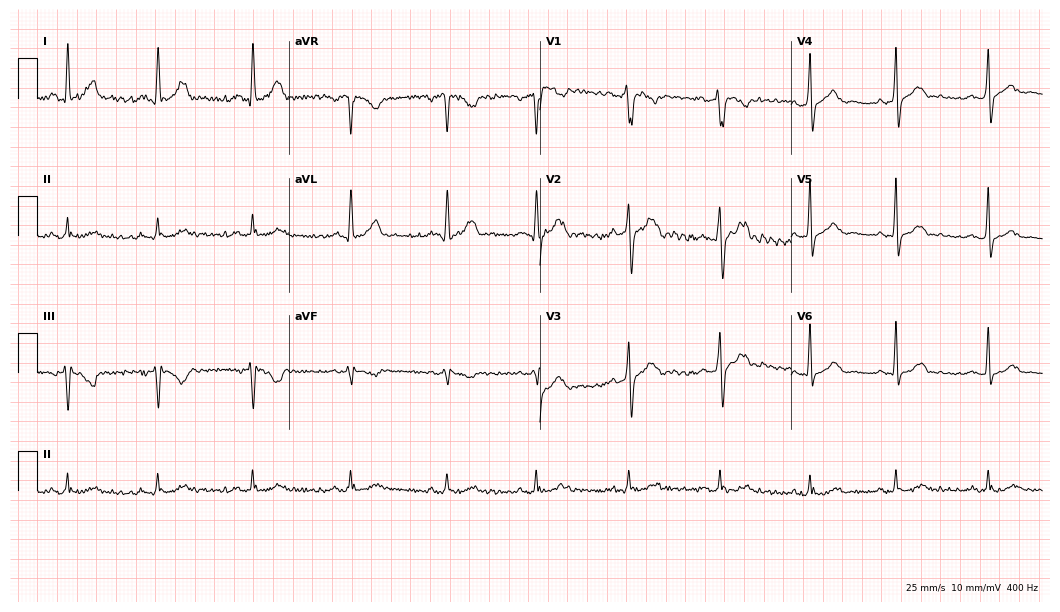
12-lead ECG from a man, 49 years old. No first-degree AV block, right bundle branch block, left bundle branch block, sinus bradycardia, atrial fibrillation or sinus tachycardia recorded for this tracing. Findings outside these six are not listed.